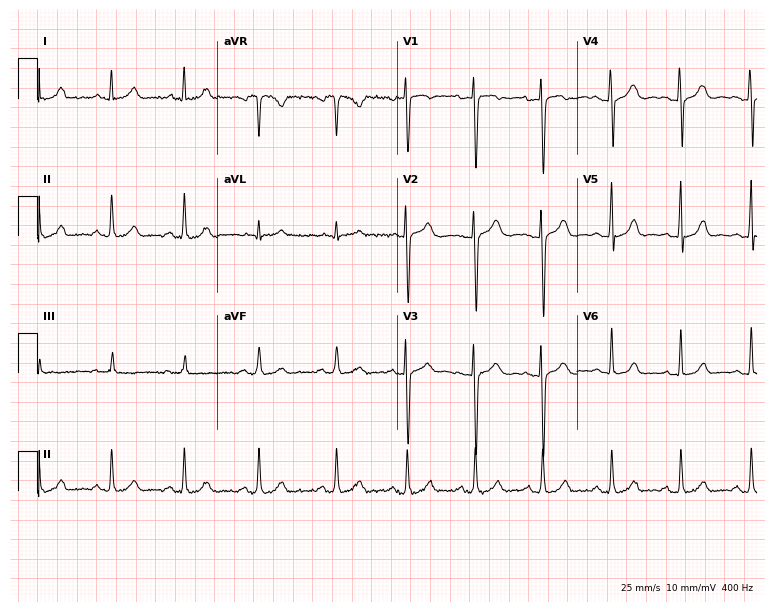
12-lead ECG from a female patient, 17 years old. Labelled as a normal ECG.